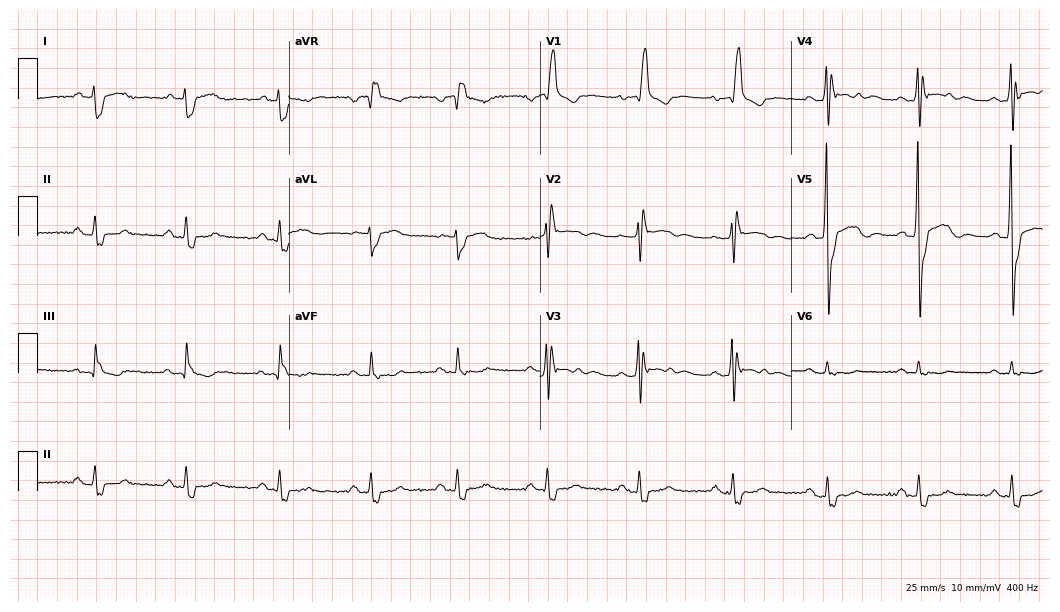
ECG (10.2-second recording at 400 Hz) — a male patient, 65 years old. Screened for six findings — first-degree AV block, right bundle branch block, left bundle branch block, sinus bradycardia, atrial fibrillation, sinus tachycardia — none is recorded. Findings outside these six are not listed.